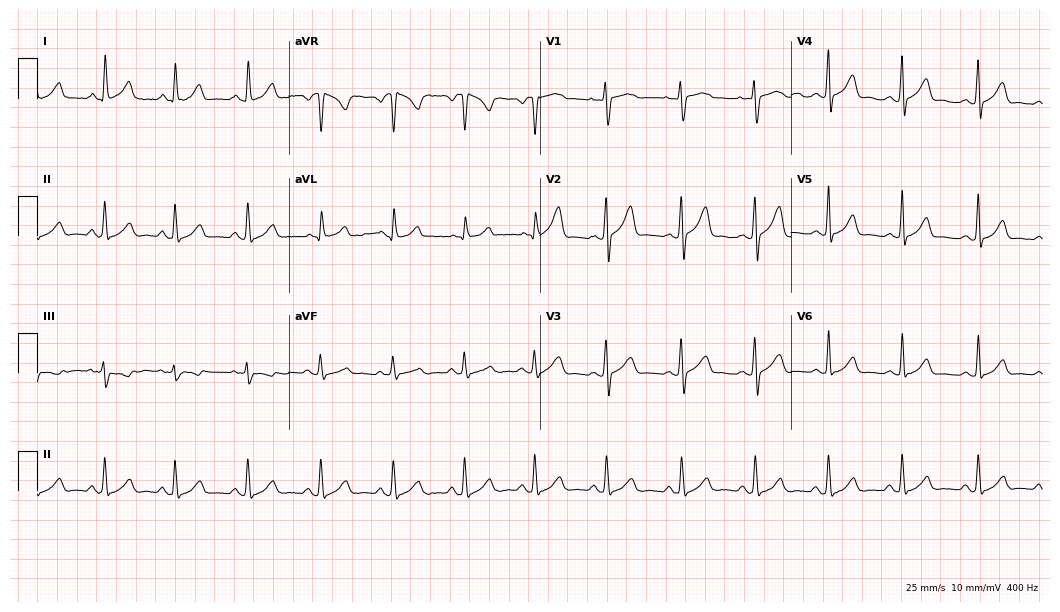
Electrocardiogram (10.2-second recording at 400 Hz), a 27-year-old woman. Overall reading on record: normal ECG.